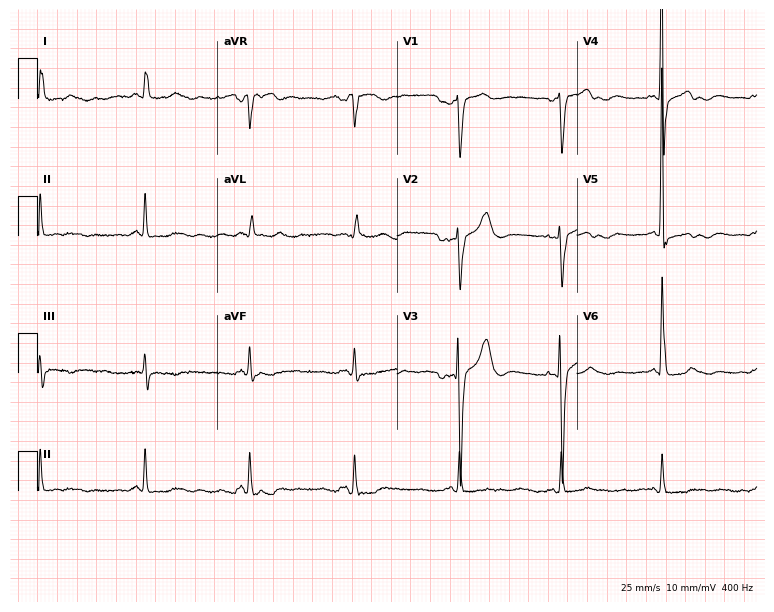
12-lead ECG from a man, 76 years old. No first-degree AV block, right bundle branch block, left bundle branch block, sinus bradycardia, atrial fibrillation or sinus tachycardia recorded for this tracing.